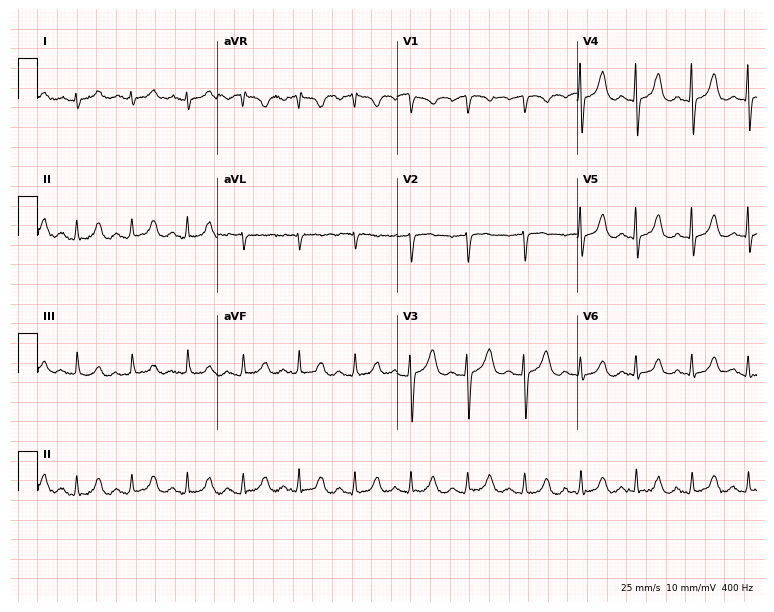
Resting 12-lead electrocardiogram. Patient: a 55-year-old female. The tracing shows sinus tachycardia (a sinus rate of 100 beats per minute or more).